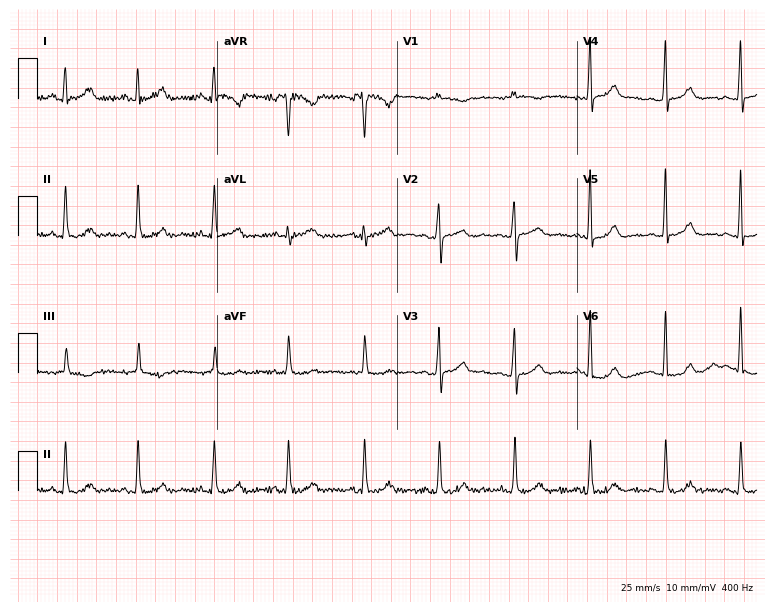
Resting 12-lead electrocardiogram. Patient: a 32-year-old female. None of these six findings is recorded: first-degree AV block, right bundle branch block, left bundle branch block, sinus bradycardia, atrial fibrillation, sinus tachycardia. Only these six findings were labelled.